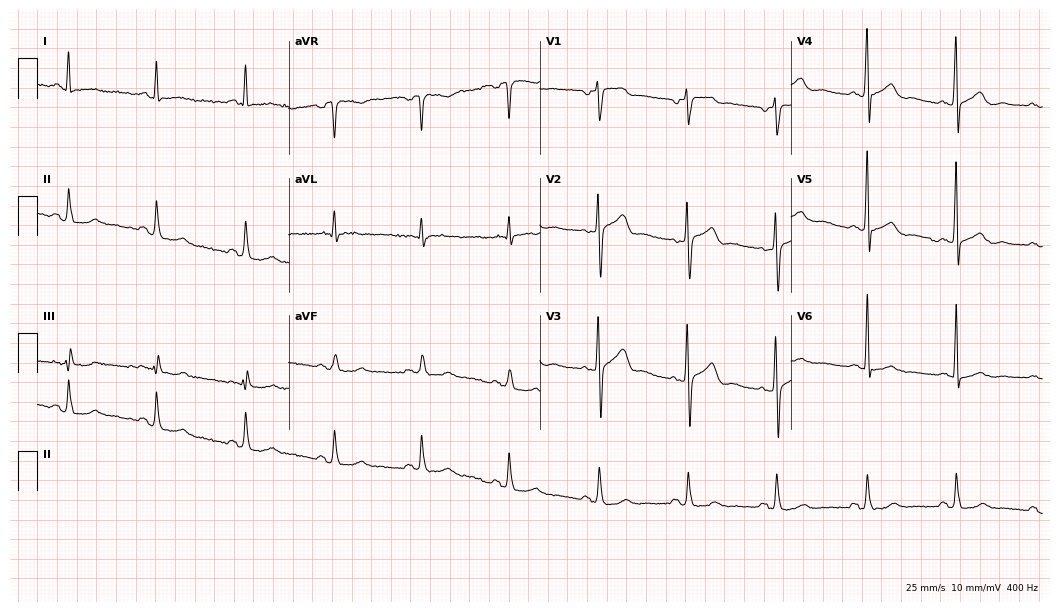
Electrocardiogram (10.2-second recording at 400 Hz), a 58-year-old male. Overall reading on record: normal ECG.